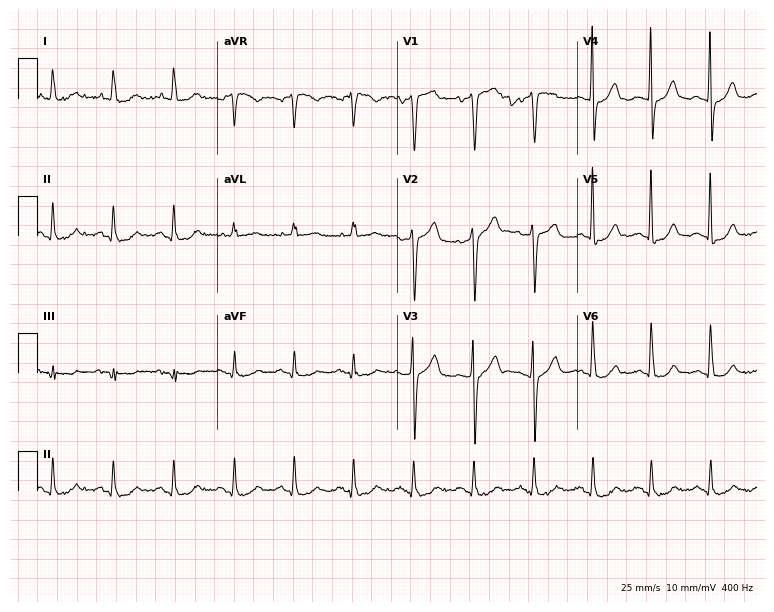
Resting 12-lead electrocardiogram. Patient: an 80-year-old man. None of these six findings is recorded: first-degree AV block, right bundle branch block (RBBB), left bundle branch block (LBBB), sinus bradycardia, atrial fibrillation (AF), sinus tachycardia. Findings outside these six are not listed.